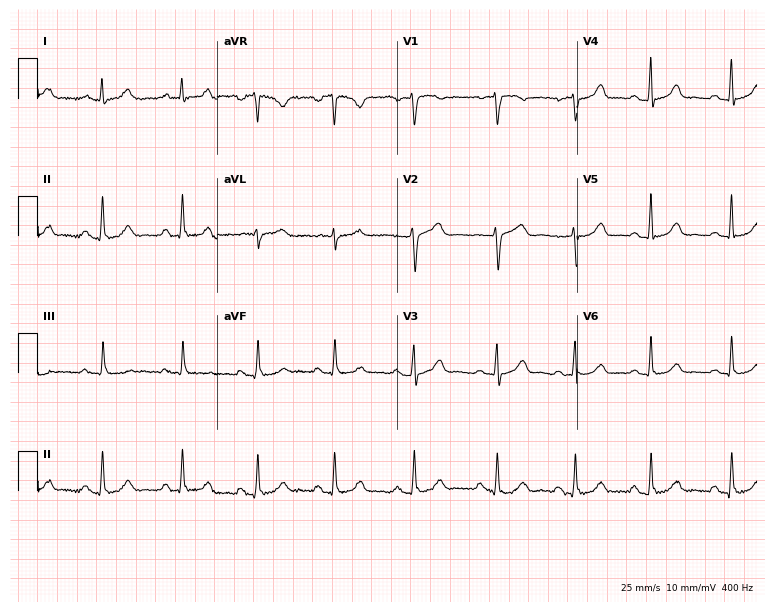
Electrocardiogram, a 38-year-old female patient. Overall reading on record: normal ECG.